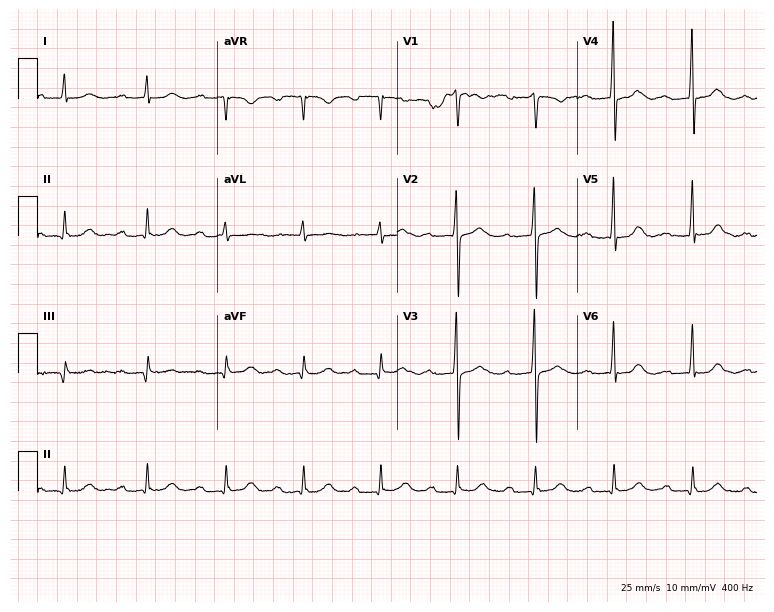
Resting 12-lead electrocardiogram. Patient: an 83-year-old male. The tracing shows first-degree AV block.